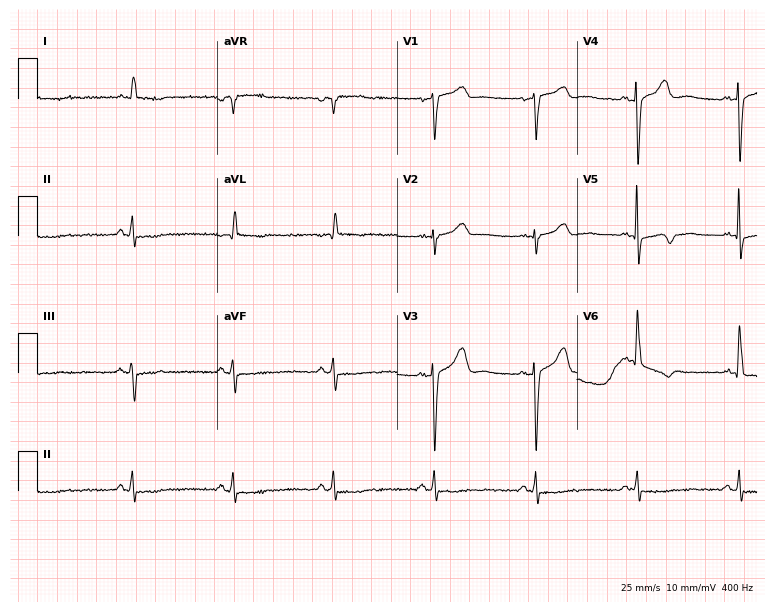
Electrocardiogram (7.3-second recording at 400 Hz), an 84-year-old male. Of the six screened findings (first-degree AV block, right bundle branch block, left bundle branch block, sinus bradycardia, atrial fibrillation, sinus tachycardia), none is recorded.